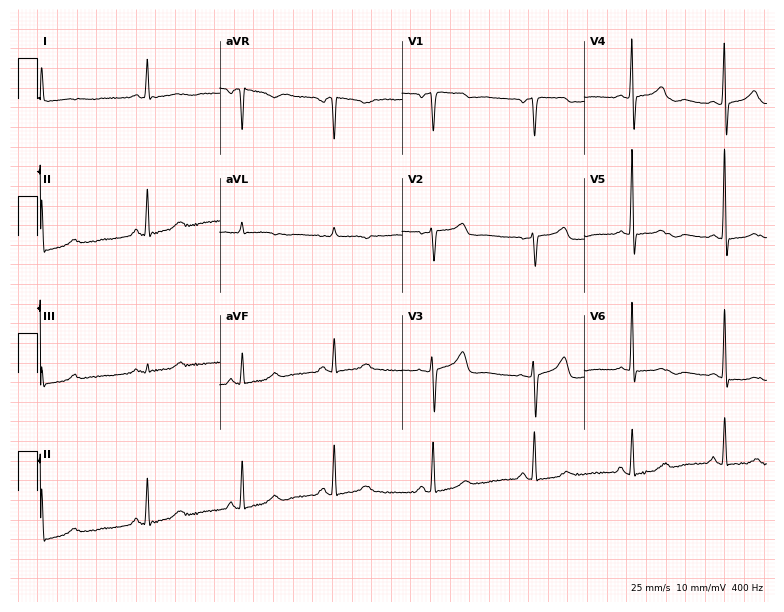
ECG (7.4-second recording at 400 Hz) — a woman, 68 years old. Screened for six findings — first-degree AV block, right bundle branch block (RBBB), left bundle branch block (LBBB), sinus bradycardia, atrial fibrillation (AF), sinus tachycardia — none is recorded.